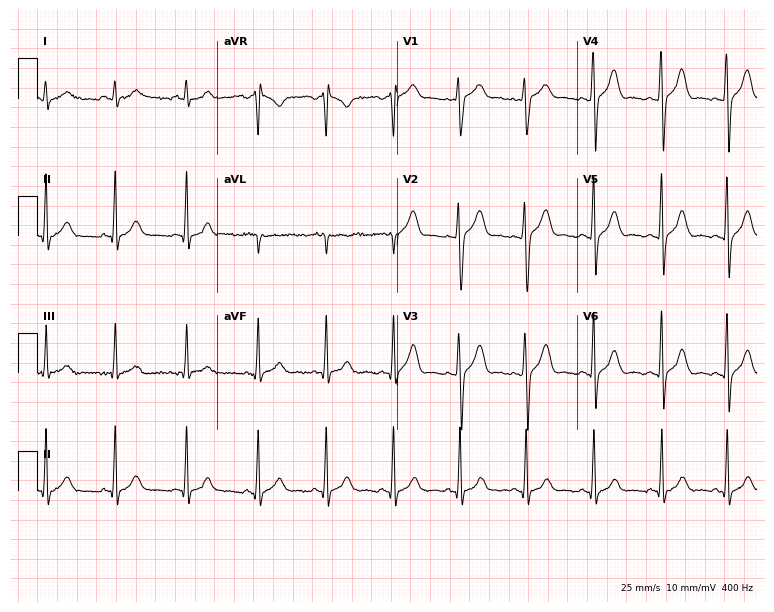
ECG — a male, 26 years old. Labelled as a normal ECG.